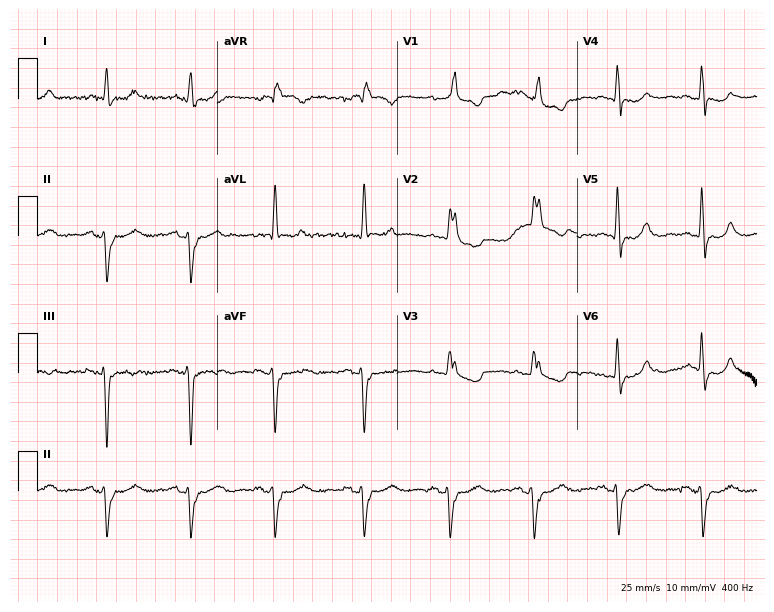
Resting 12-lead electrocardiogram. Patient: a woman, 79 years old. The tracing shows right bundle branch block (RBBB), left bundle branch block (LBBB).